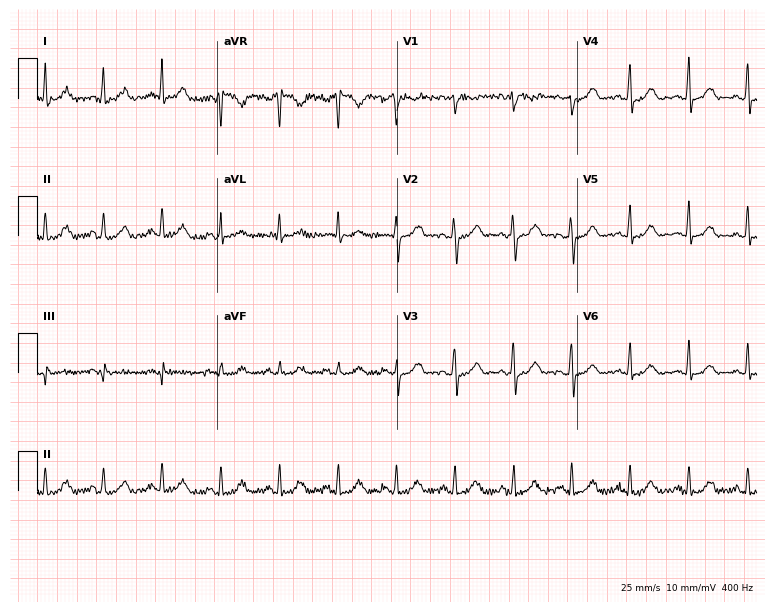
ECG (7.3-second recording at 400 Hz) — a 29-year-old woman. Screened for six findings — first-degree AV block, right bundle branch block (RBBB), left bundle branch block (LBBB), sinus bradycardia, atrial fibrillation (AF), sinus tachycardia — none is recorded.